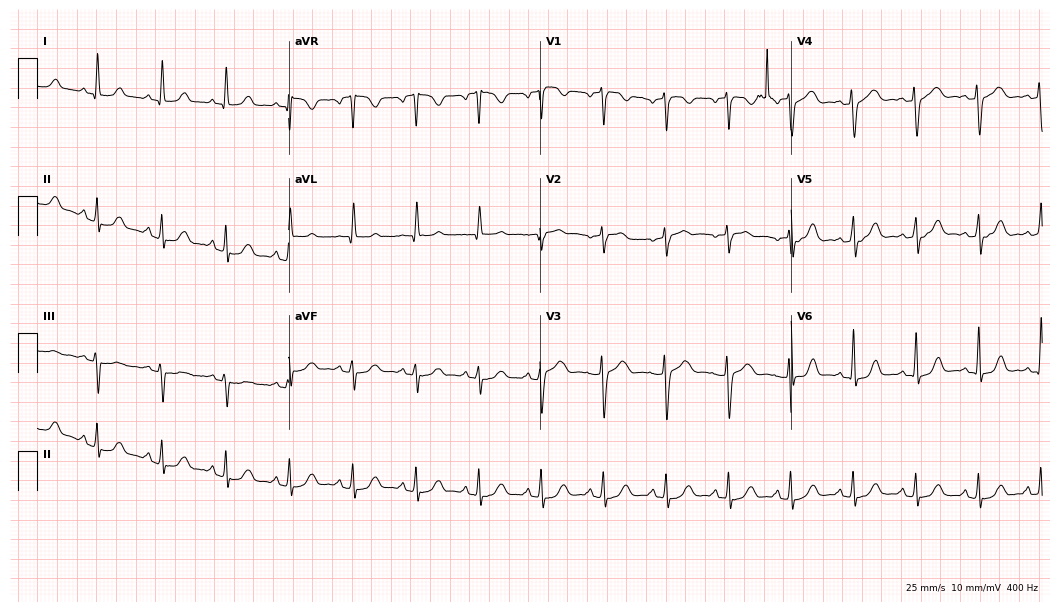
ECG — a 61-year-old female patient. Labelled as a normal ECG.